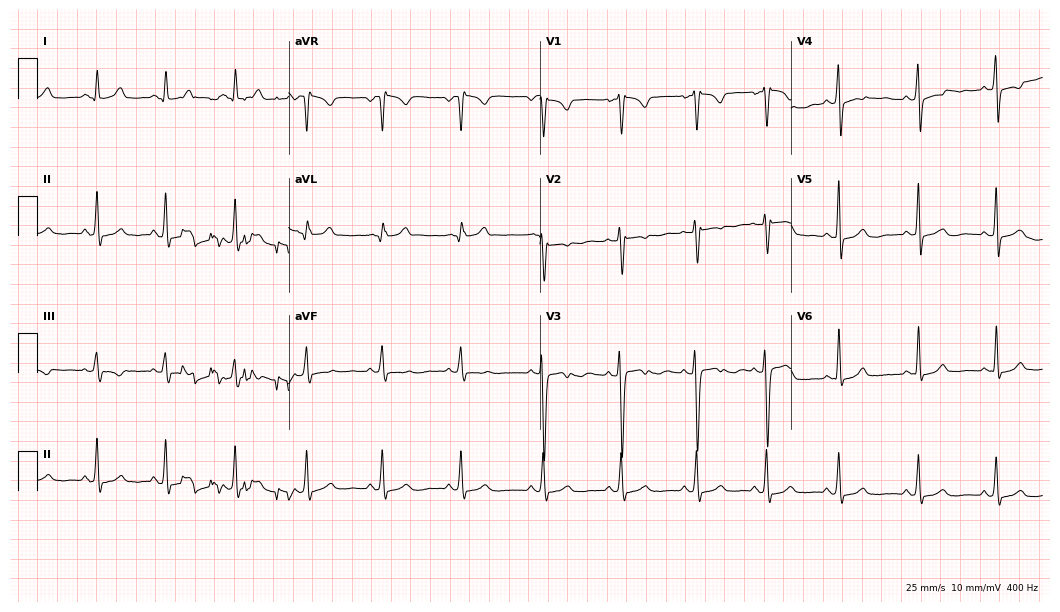
ECG — a 24-year-old female patient. Labelled as a normal ECG.